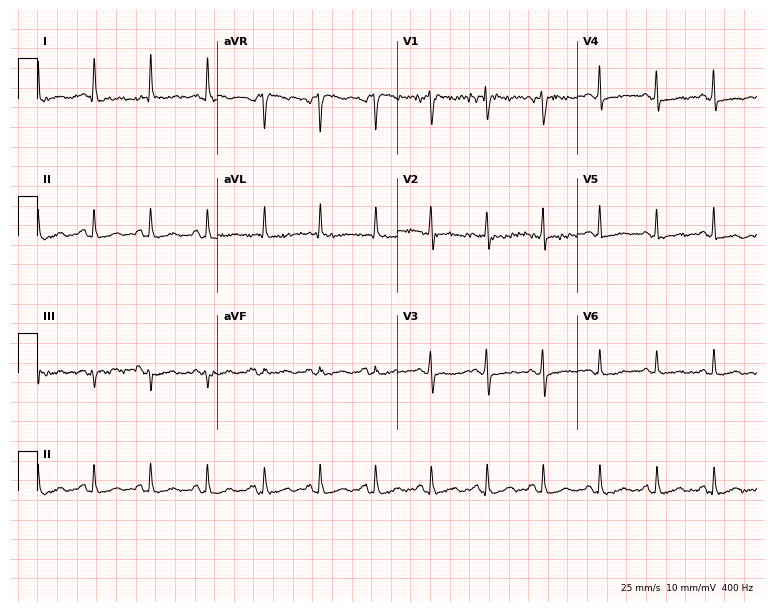
ECG (7.3-second recording at 400 Hz) — a 77-year-old female patient. Findings include sinus tachycardia (a sinus rate of 100 beats per minute or more).